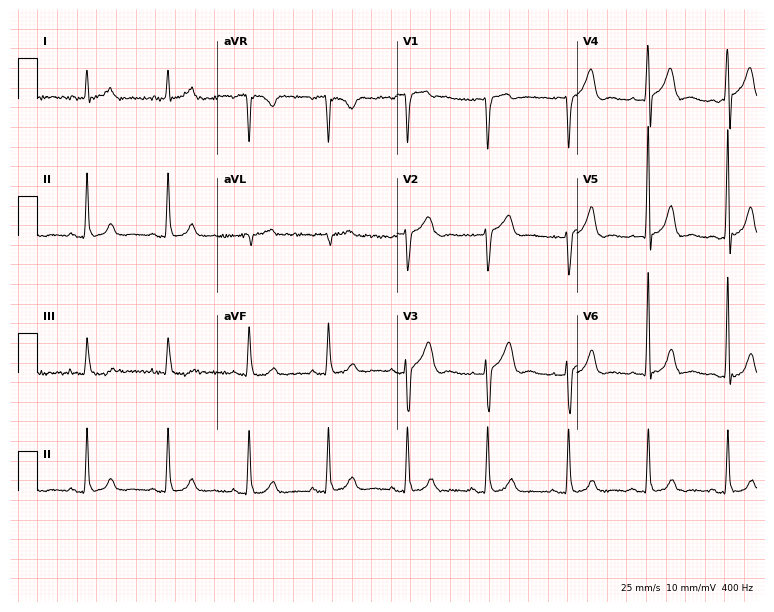
12-lead ECG (7.3-second recording at 400 Hz) from a man, 80 years old. Screened for six findings — first-degree AV block, right bundle branch block, left bundle branch block, sinus bradycardia, atrial fibrillation, sinus tachycardia — none is recorded. Findings outside these six are not listed.